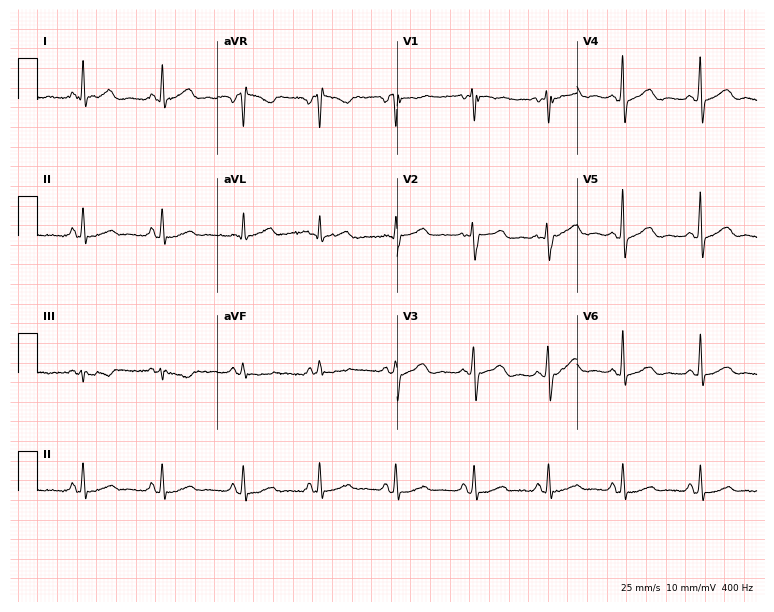
12-lead ECG from a woman, 44 years old. No first-degree AV block, right bundle branch block (RBBB), left bundle branch block (LBBB), sinus bradycardia, atrial fibrillation (AF) or sinus tachycardia recorded for this tracing. Findings outside these six are not listed.